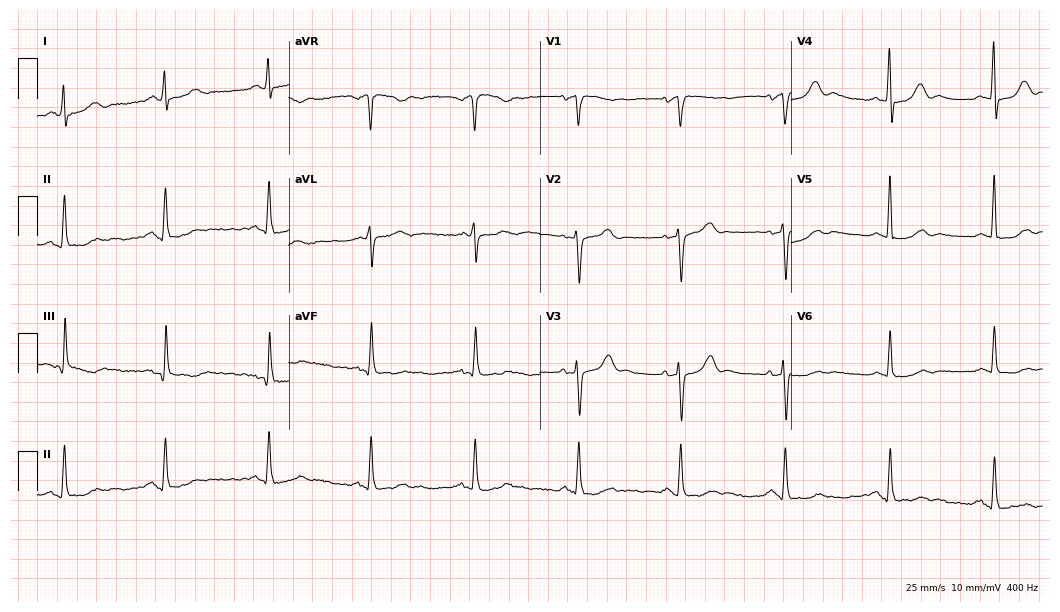
Electrocardiogram (10.2-second recording at 400 Hz), a 72-year-old female patient. Of the six screened findings (first-degree AV block, right bundle branch block, left bundle branch block, sinus bradycardia, atrial fibrillation, sinus tachycardia), none is recorded.